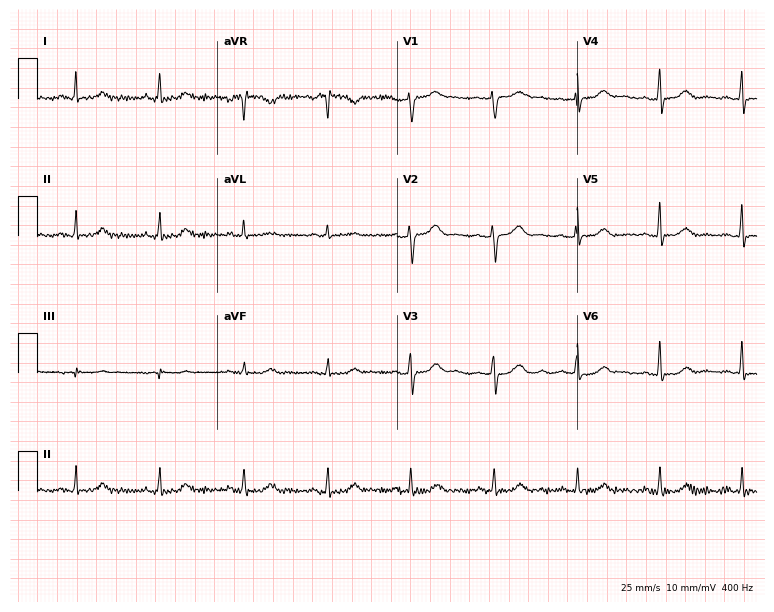
Electrocardiogram, a 57-year-old female patient. Overall reading on record: normal ECG.